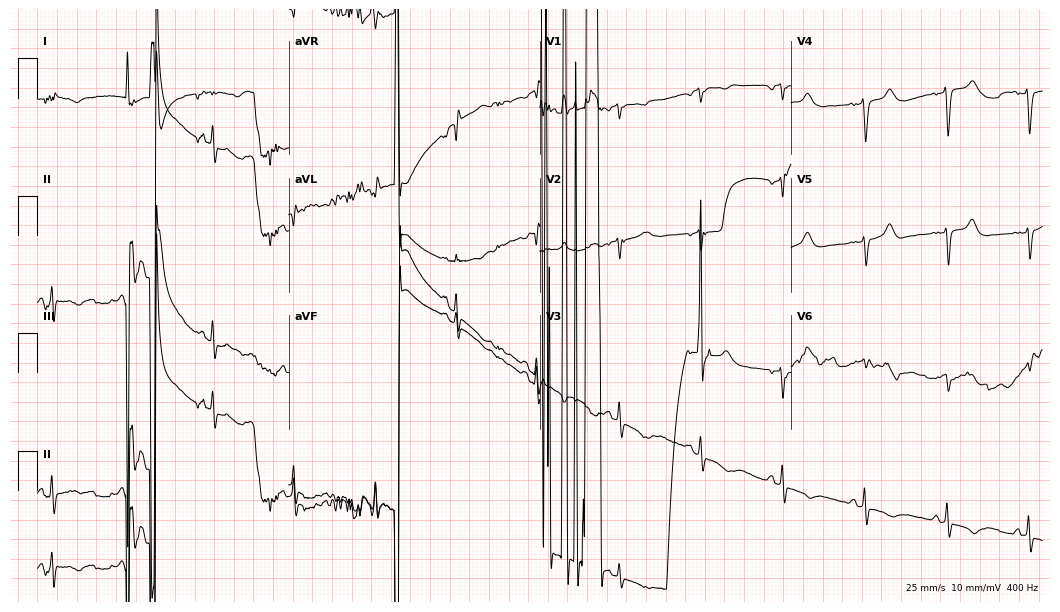
Resting 12-lead electrocardiogram. Patient: a male, 78 years old. None of these six findings is recorded: first-degree AV block, right bundle branch block (RBBB), left bundle branch block (LBBB), sinus bradycardia, atrial fibrillation (AF), sinus tachycardia. Findings outside these six are not listed.